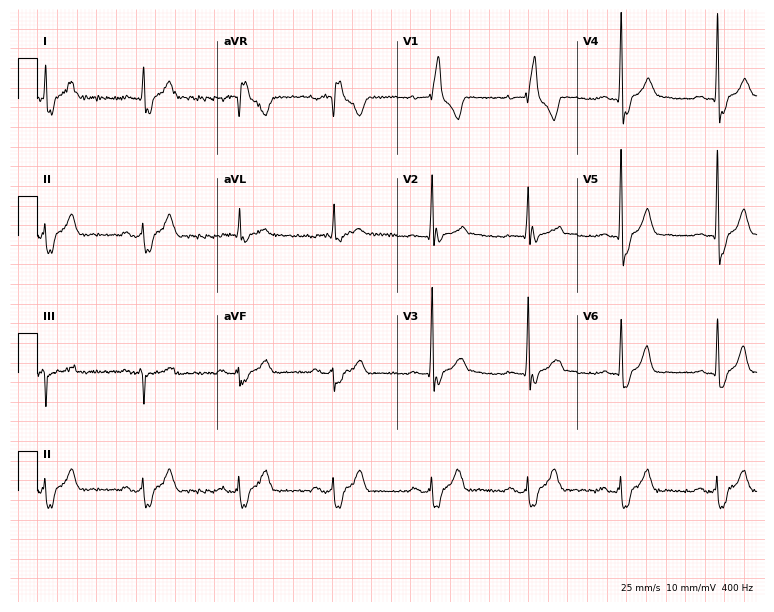
Standard 12-lead ECG recorded from a man, 65 years old (7.3-second recording at 400 Hz). The tracing shows right bundle branch block.